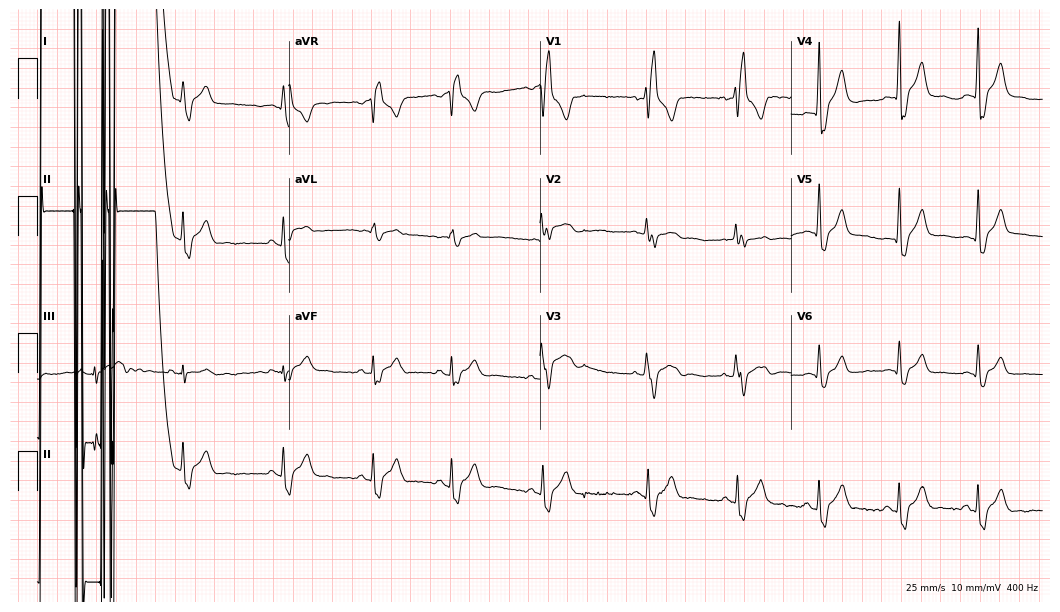
Standard 12-lead ECG recorded from a 23-year-old male. None of these six findings is recorded: first-degree AV block, right bundle branch block, left bundle branch block, sinus bradycardia, atrial fibrillation, sinus tachycardia.